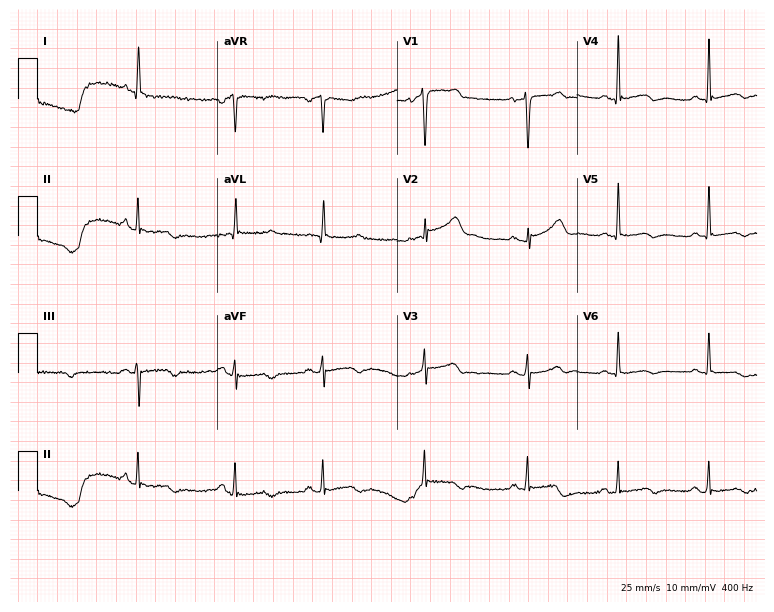
Electrocardiogram, an 83-year-old female. Of the six screened findings (first-degree AV block, right bundle branch block, left bundle branch block, sinus bradycardia, atrial fibrillation, sinus tachycardia), none is recorded.